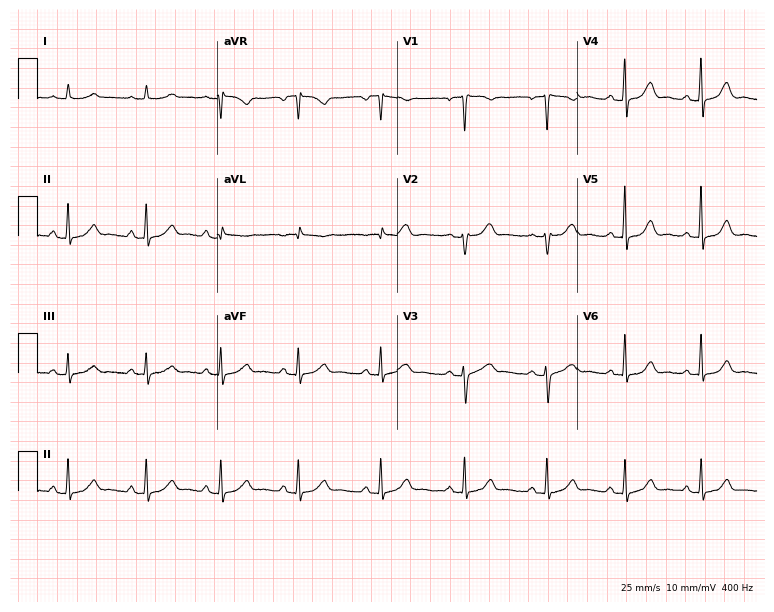
ECG (7.3-second recording at 400 Hz) — a 52-year-old woman. Labelled as a normal ECG.